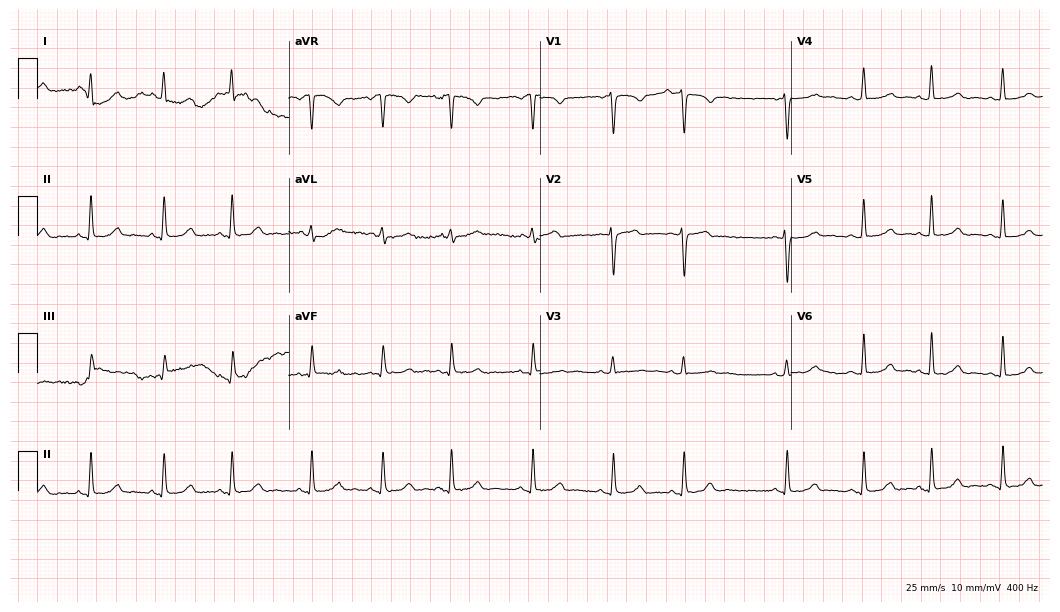
Standard 12-lead ECG recorded from a female, 20 years old (10.2-second recording at 400 Hz). Read as a normal ECG.